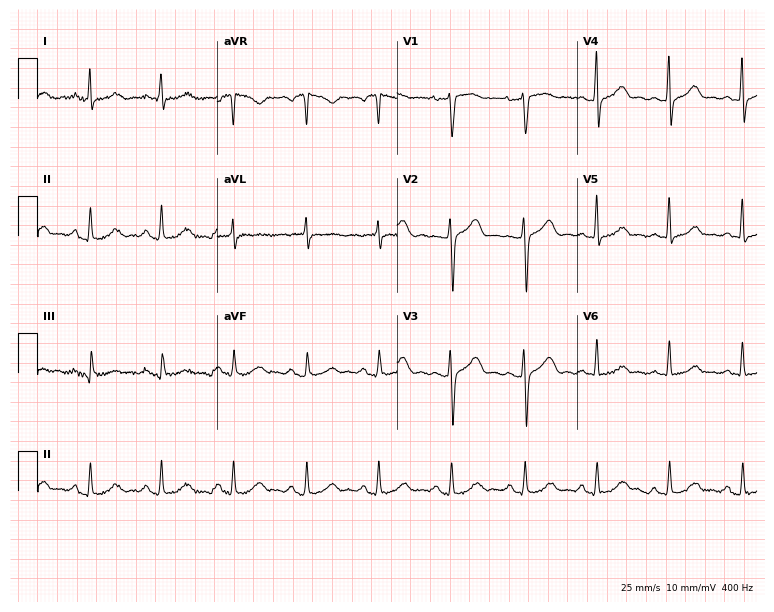
ECG (7.3-second recording at 400 Hz) — a 42-year-old female. Screened for six findings — first-degree AV block, right bundle branch block, left bundle branch block, sinus bradycardia, atrial fibrillation, sinus tachycardia — none is recorded.